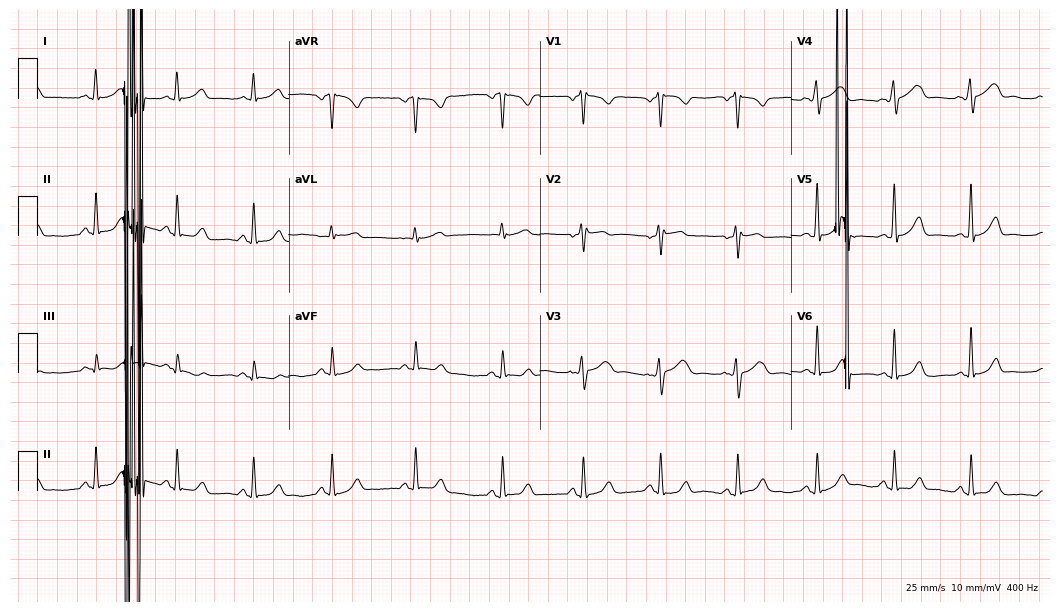
ECG (10.2-second recording at 400 Hz) — a female, 31 years old. Findings include atrial fibrillation.